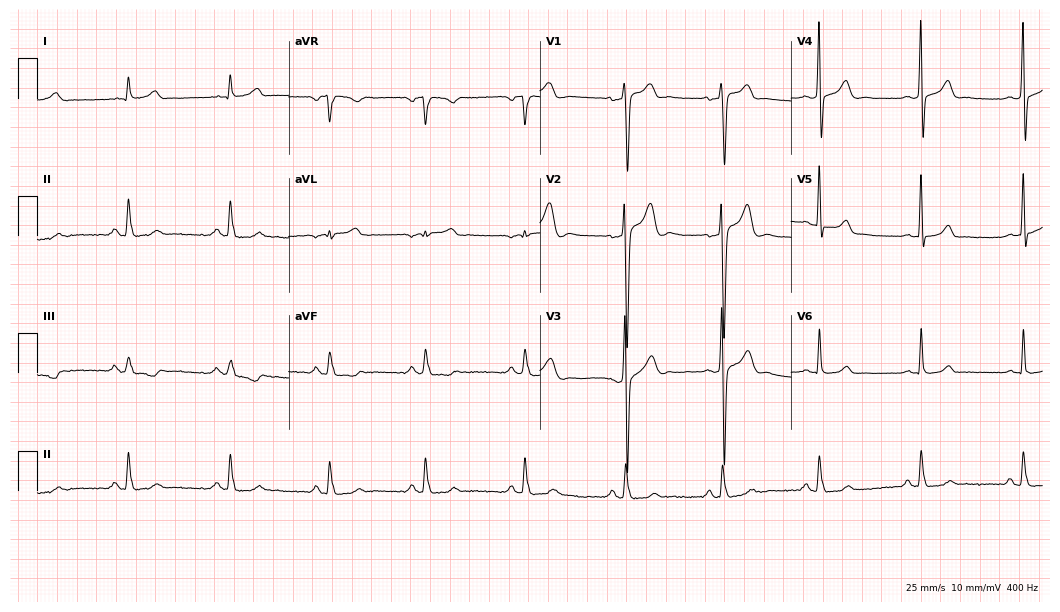
Resting 12-lead electrocardiogram. Patient: a man, 27 years old. Read as a normal ECG.